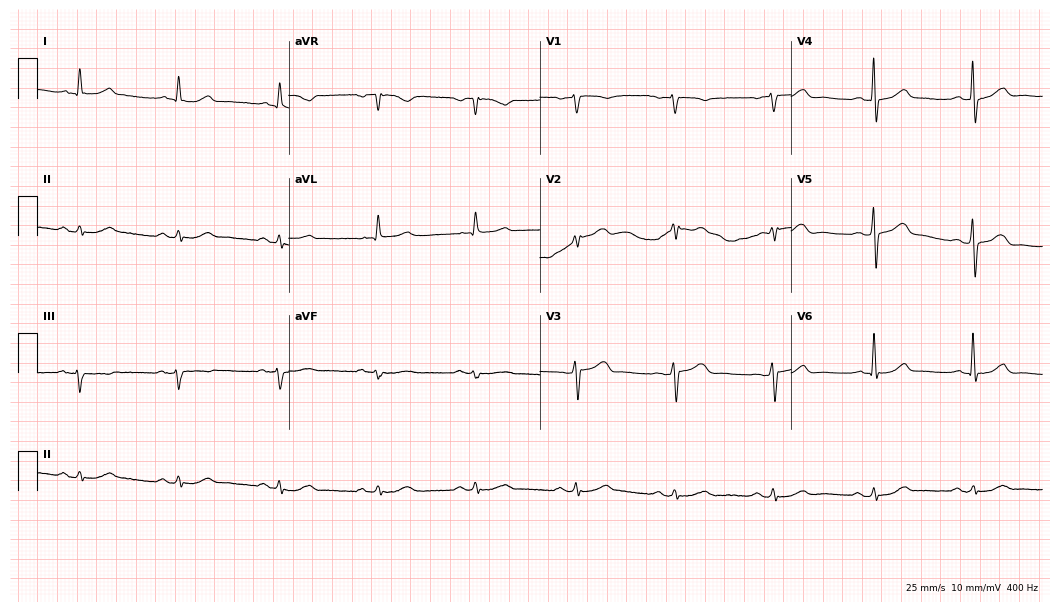
Standard 12-lead ECG recorded from a 74-year-old man (10.2-second recording at 400 Hz). Read as a normal ECG.